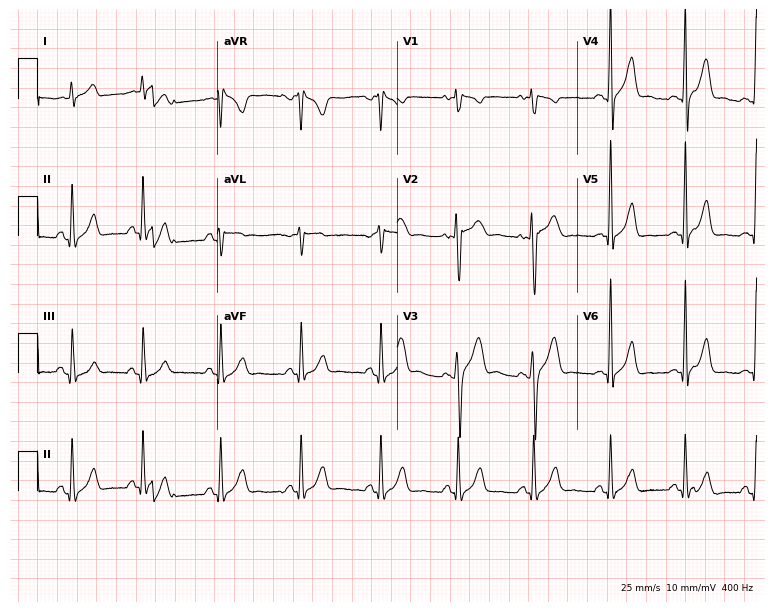
12-lead ECG from a male patient, 18 years old. Labelled as a normal ECG.